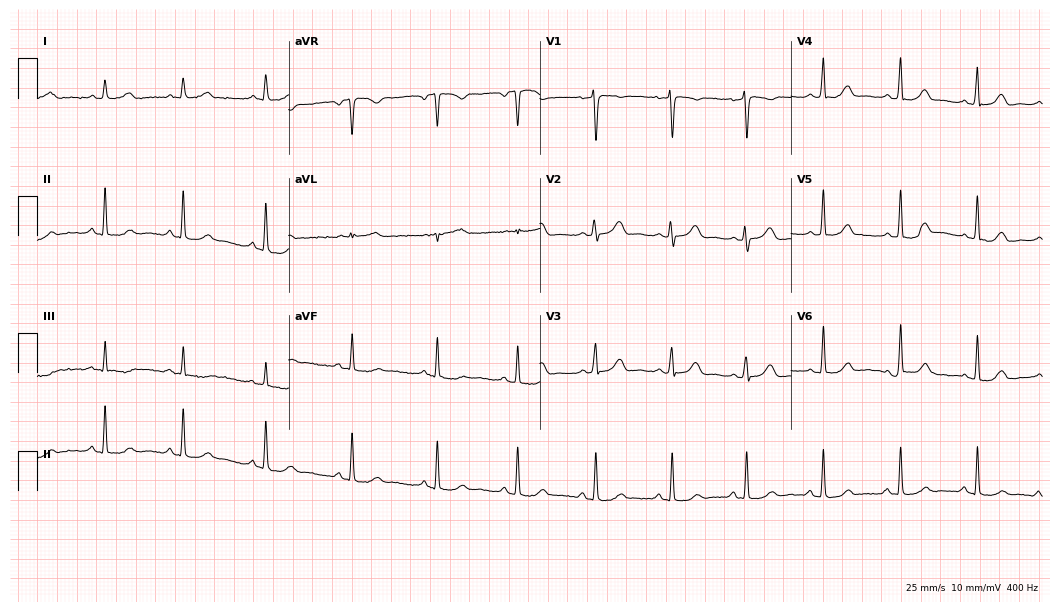
12-lead ECG from a 43-year-old female. Recorded interpretation: within normal limits.